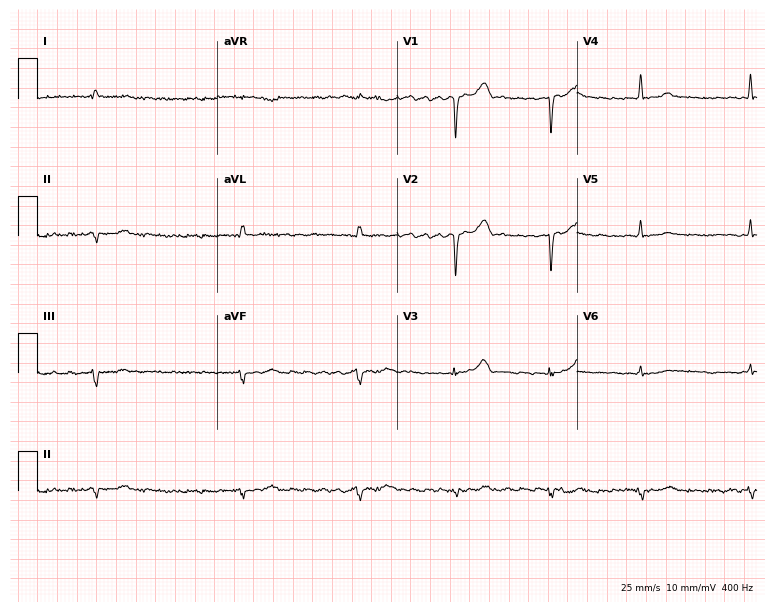
12-lead ECG (7.3-second recording at 400 Hz) from a 70-year-old man. Findings include atrial fibrillation.